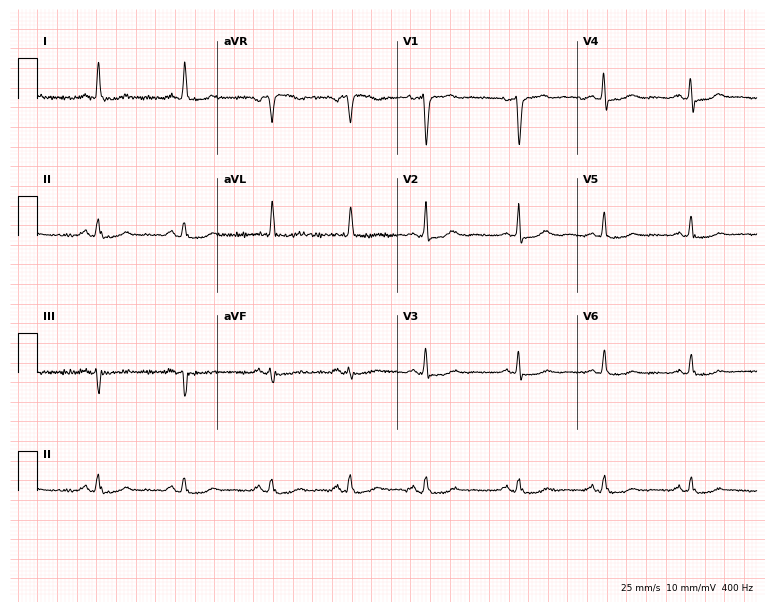
Resting 12-lead electrocardiogram. Patient: a woman, 80 years old. None of these six findings is recorded: first-degree AV block, right bundle branch block, left bundle branch block, sinus bradycardia, atrial fibrillation, sinus tachycardia.